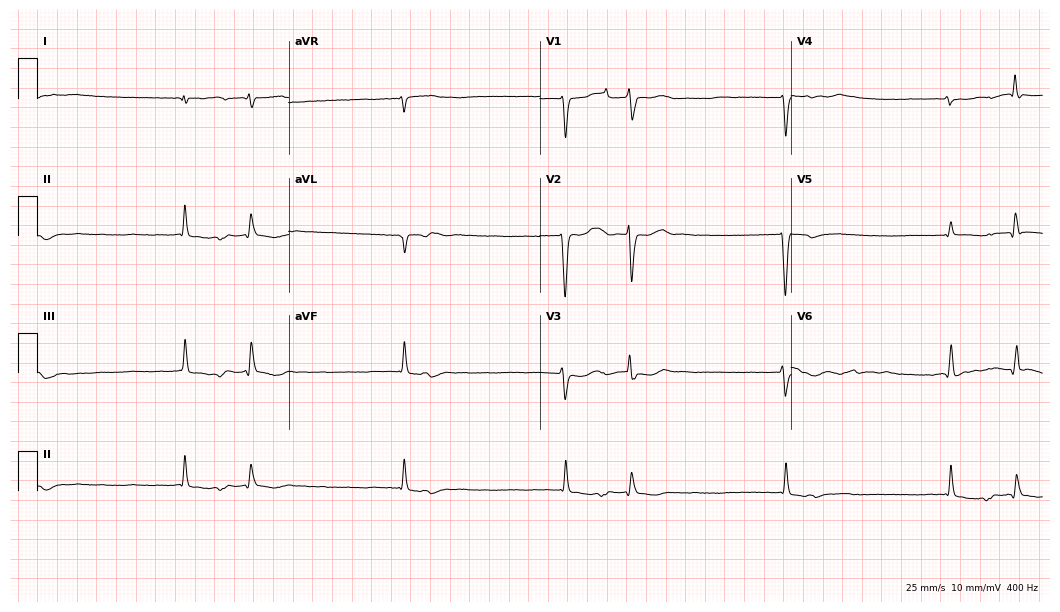
ECG — a female patient, 68 years old. Findings include atrial fibrillation.